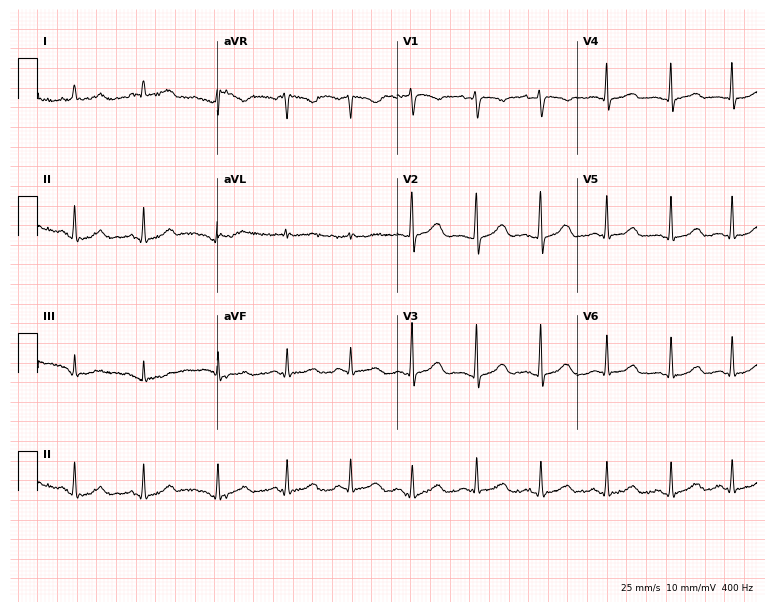
Standard 12-lead ECG recorded from a 35-year-old woman. Read as a normal ECG.